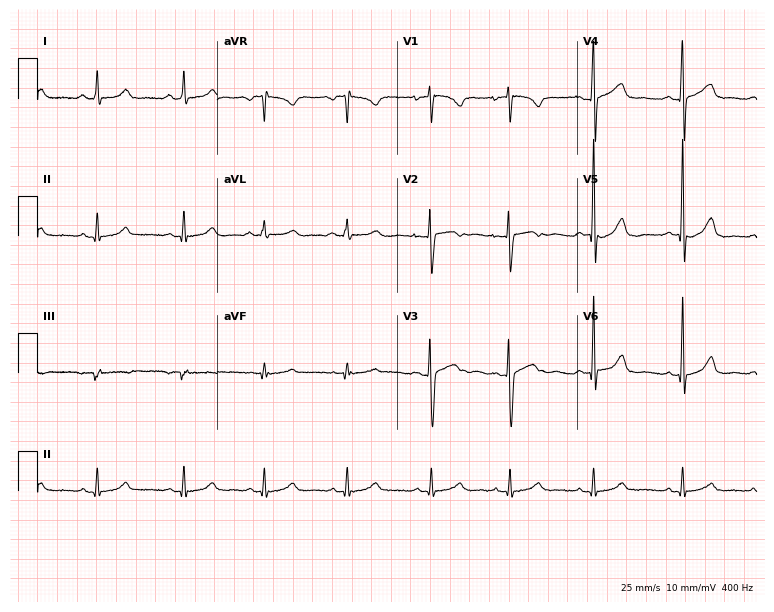
ECG — a 30-year-old woman. Labelled as a normal ECG.